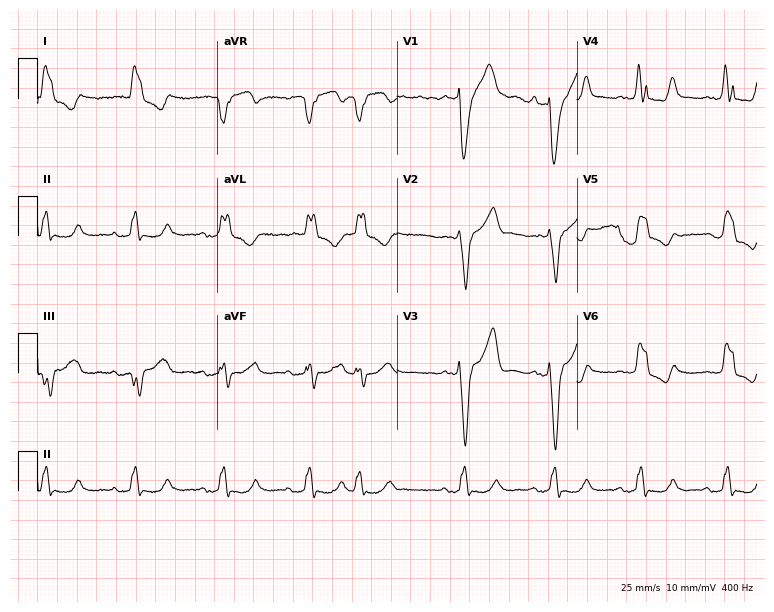
Electrocardiogram, a female patient, 83 years old. Interpretation includes left bundle branch block.